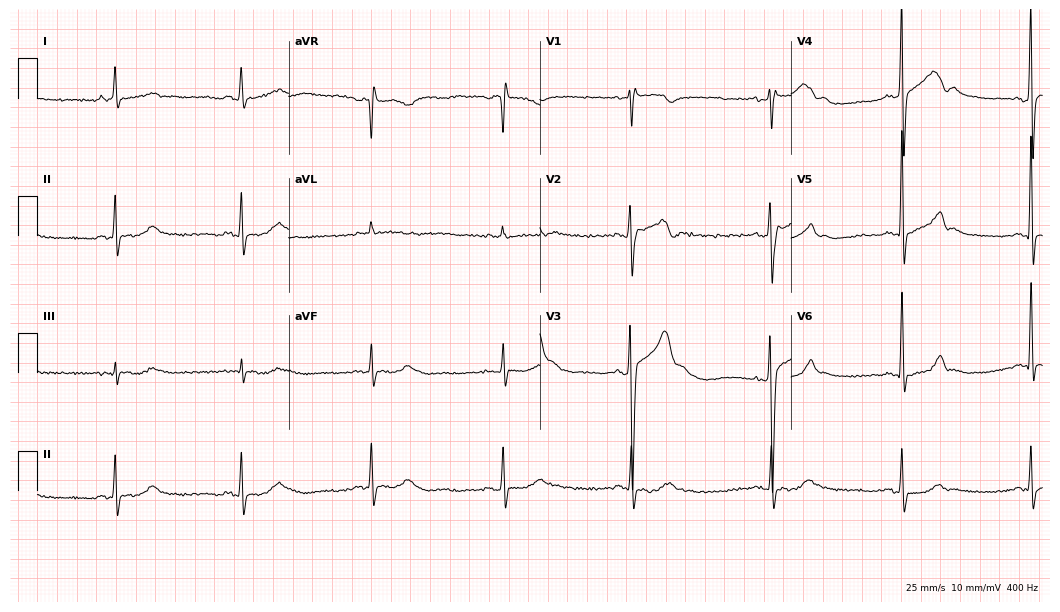
ECG — a male patient, 36 years old. Findings include sinus bradycardia (a sinus rate of 50 beats per minute or less).